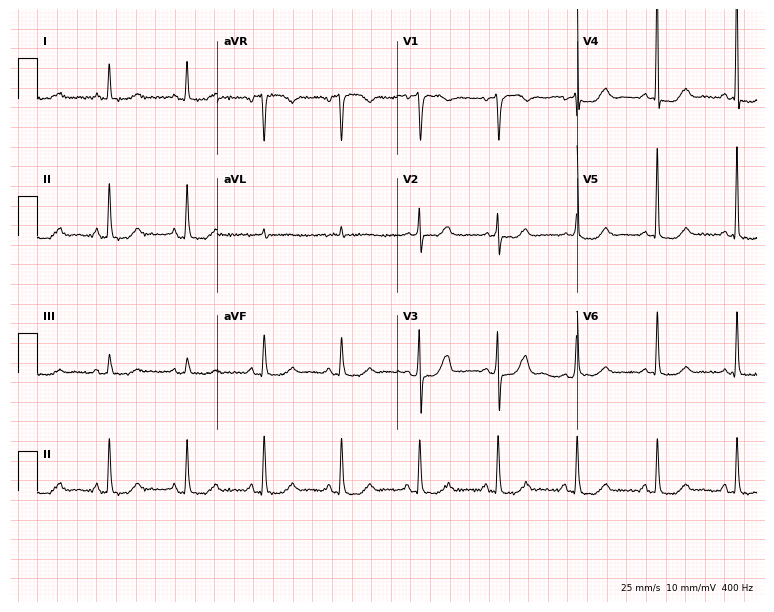
12-lead ECG from a 70-year-old woman (7.3-second recording at 400 Hz). No first-degree AV block, right bundle branch block, left bundle branch block, sinus bradycardia, atrial fibrillation or sinus tachycardia recorded for this tracing. Only these six findings were labelled.